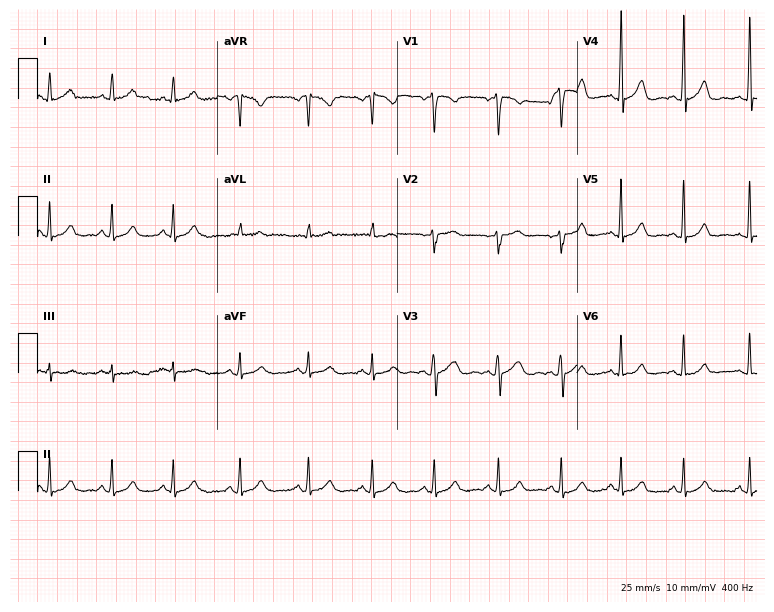
Electrocardiogram, a 26-year-old woman. Overall reading on record: normal ECG.